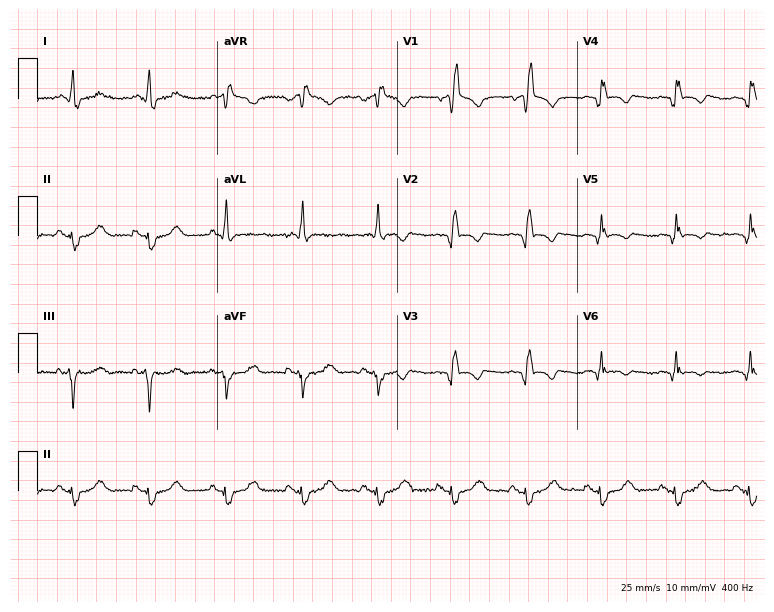
Electrocardiogram, a female patient, 74 years old. Interpretation includes right bundle branch block.